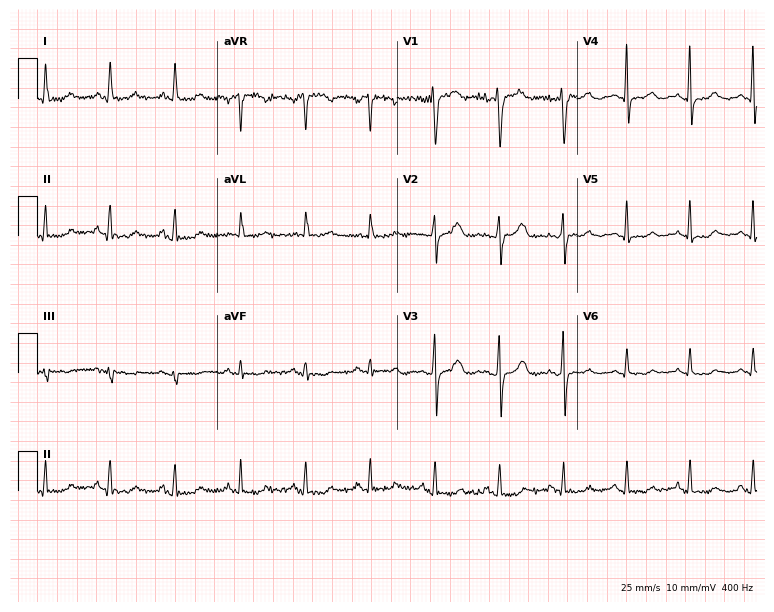
Electrocardiogram (7.3-second recording at 400 Hz), a 57-year-old woman. Of the six screened findings (first-degree AV block, right bundle branch block, left bundle branch block, sinus bradycardia, atrial fibrillation, sinus tachycardia), none is recorded. Other findings, if any, are not listed.